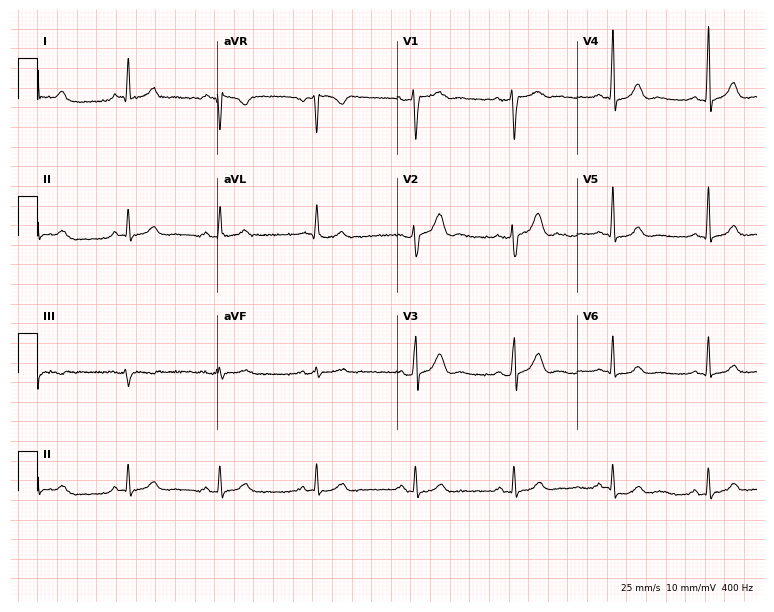
Resting 12-lead electrocardiogram (7.3-second recording at 400 Hz). Patient: a male, 47 years old. Read as a normal ECG.